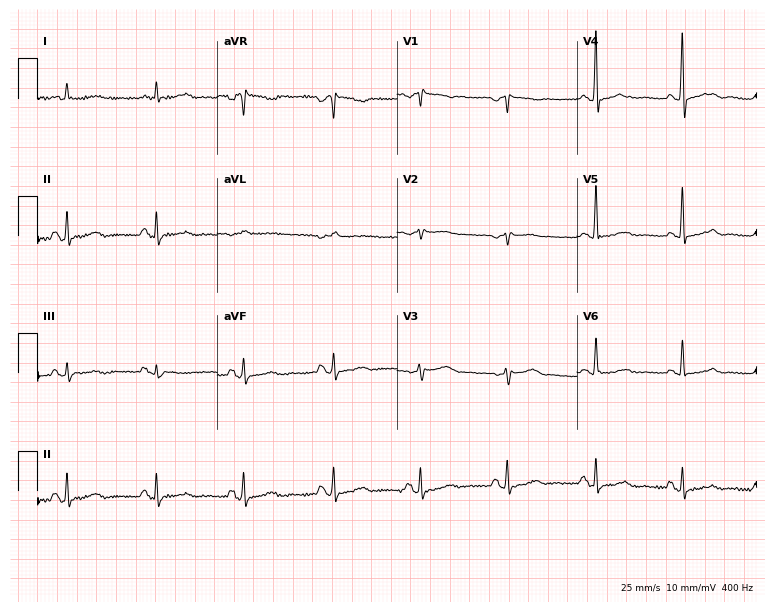
ECG — a 74-year-old female patient. Screened for six findings — first-degree AV block, right bundle branch block, left bundle branch block, sinus bradycardia, atrial fibrillation, sinus tachycardia — none is recorded. Other findings, if any, are not listed.